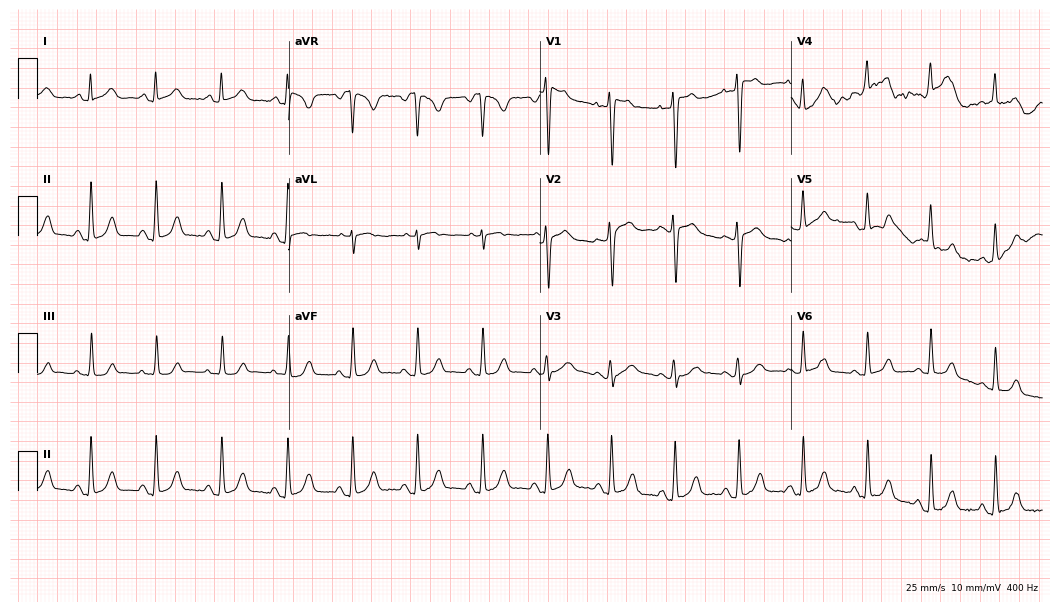
12-lead ECG from a male, 30 years old. Recorded interpretation: within normal limits.